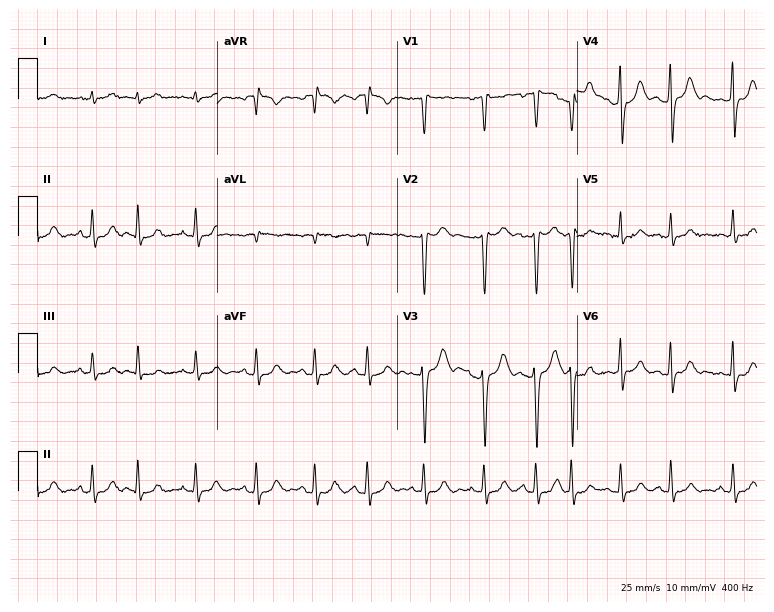
12-lead ECG (7.3-second recording at 400 Hz) from a man, 49 years old. Screened for six findings — first-degree AV block, right bundle branch block, left bundle branch block, sinus bradycardia, atrial fibrillation, sinus tachycardia — none is recorded.